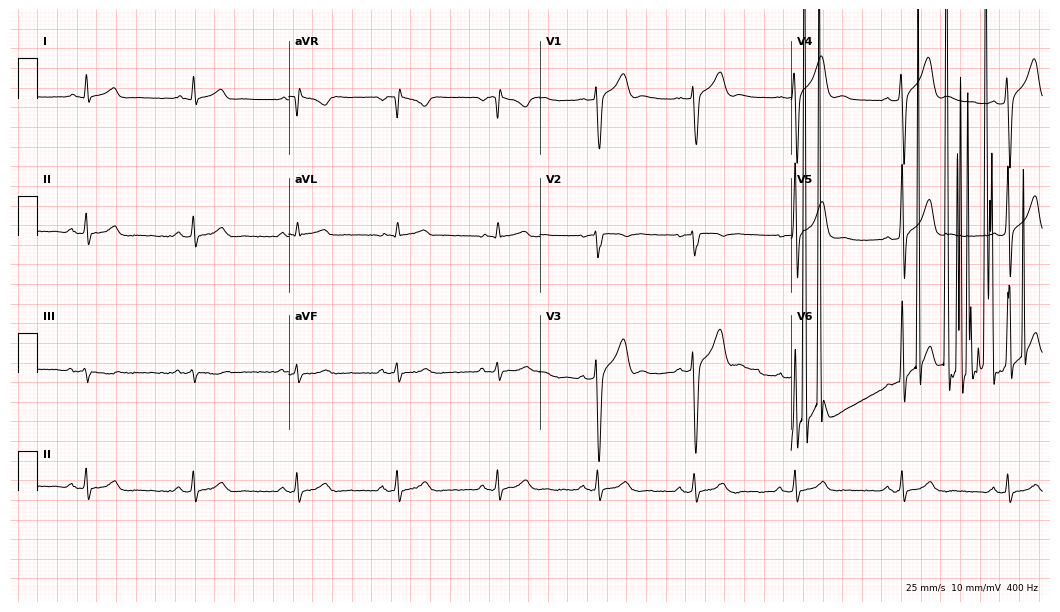
12-lead ECG (10.2-second recording at 400 Hz) from a 31-year-old man. Screened for six findings — first-degree AV block, right bundle branch block, left bundle branch block, sinus bradycardia, atrial fibrillation, sinus tachycardia — none is recorded.